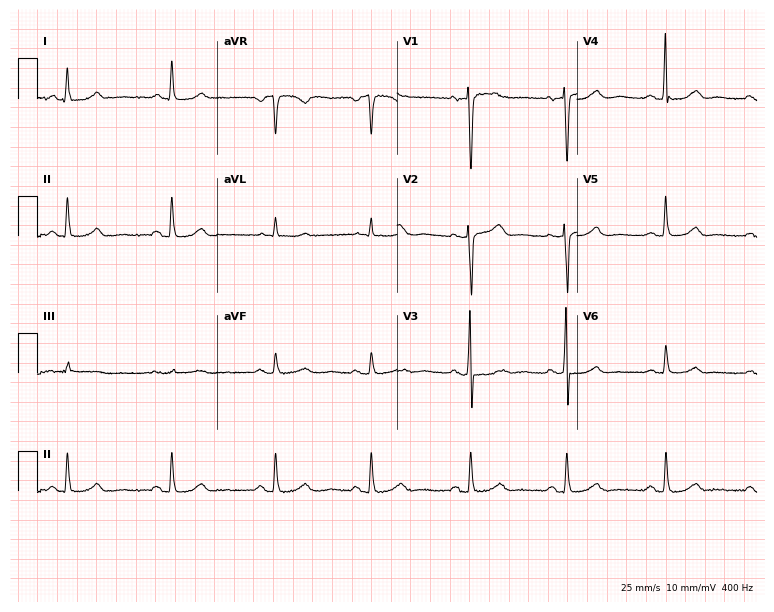
12-lead ECG from a 58-year-old female patient. Recorded interpretation: within normal limits.